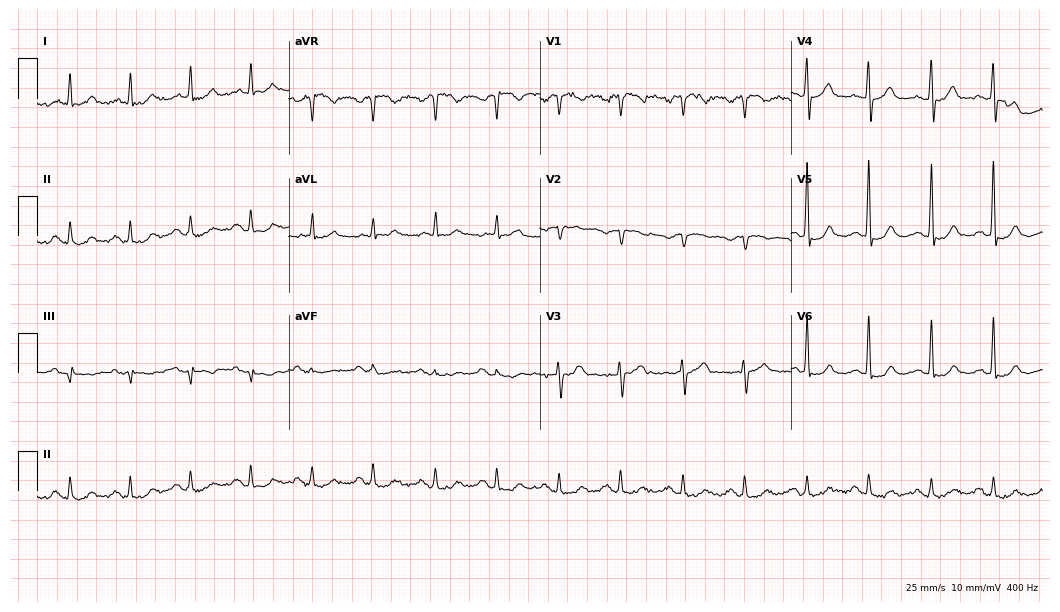
12-lead ECG from a 78-year-old male patient (10.2-second recording at 400 Hz). No first-degree AV block, right bundle branch block (RBBB), left bundle branch block (LBBB), sinus bradycardia, atrial fibrillation (AF) or sinus tachycardia recorded for this tracing. Only these six findings were labelled.